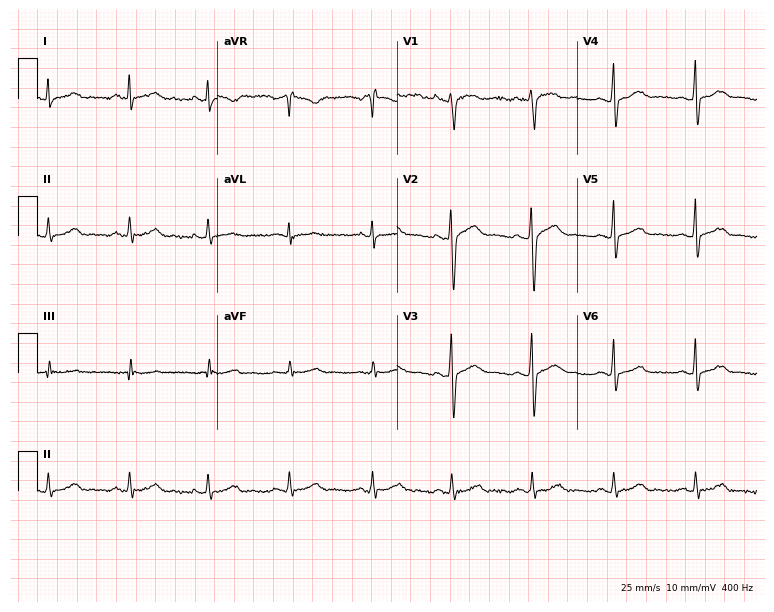
12-lead ECG (7.3-second recording at 400 Hz) from a 31-year-old woman. Labelled as a normal ECG.